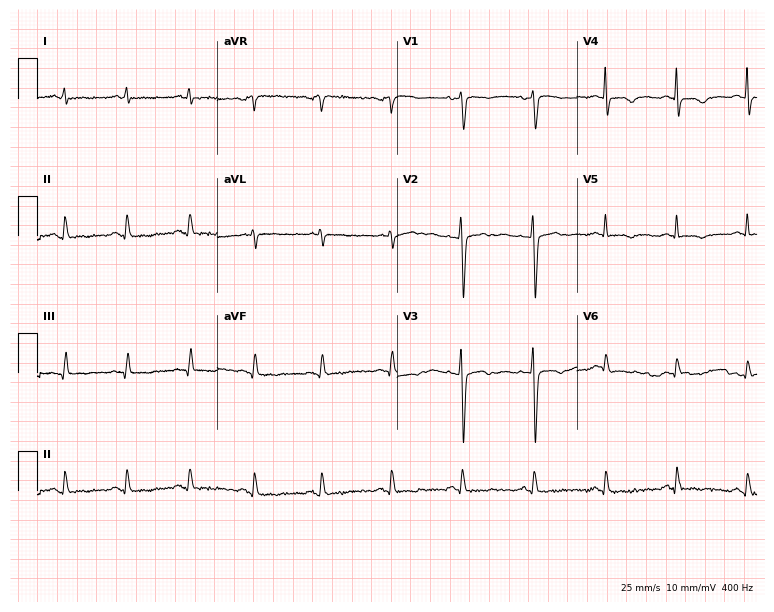
12-lead ECG from a woman, 59 years old (7.3-second recording at 400 Hz). No first-degree AV block, right bundle branch block, left bundle branch block, sinus bradycardia, atrial fibrillation or sinus tachycardia recorded for this tracing.